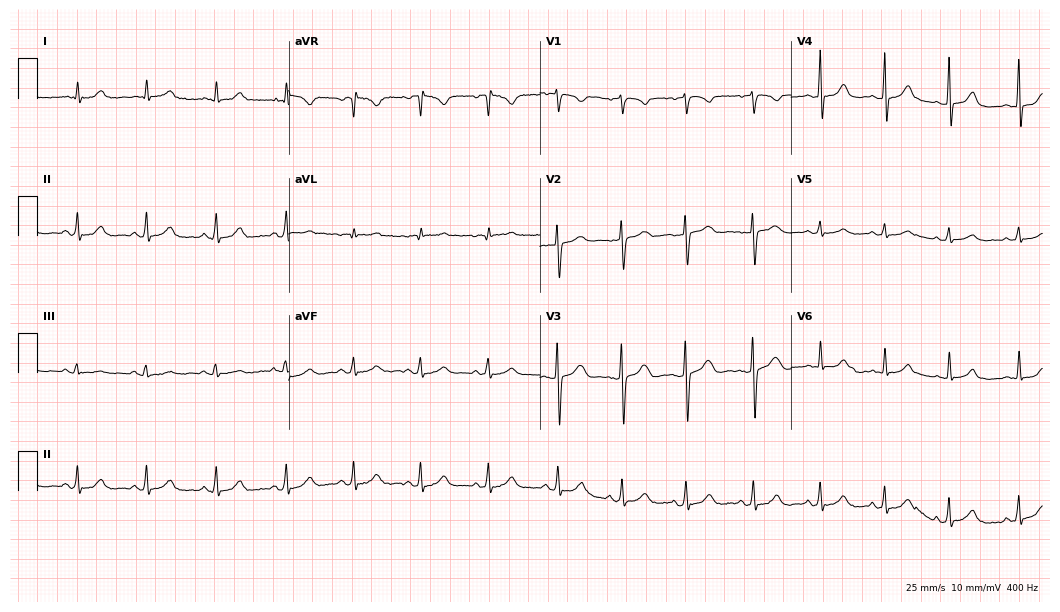
12-lead ECG from a female, 21 years old (10.2-second recording at 400 Hz). No first-degree AV block, right bundle branch block, left bundle branch block, sinus bradycardia, atrial fibrillation or sinus tachycardia recorded for this tracing. Other findings, if any, are not listed.